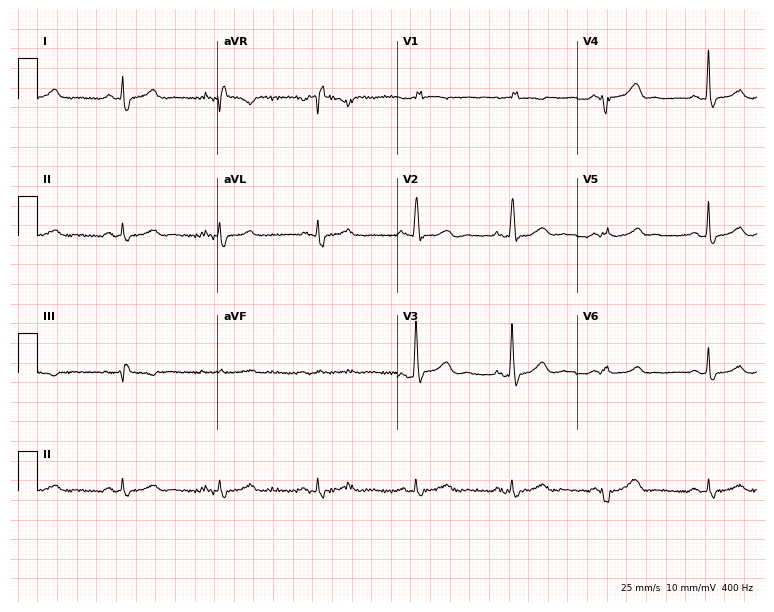
12-lead ECG from a female patient, 64 years old. Shows right bundle branch block (RBBB).